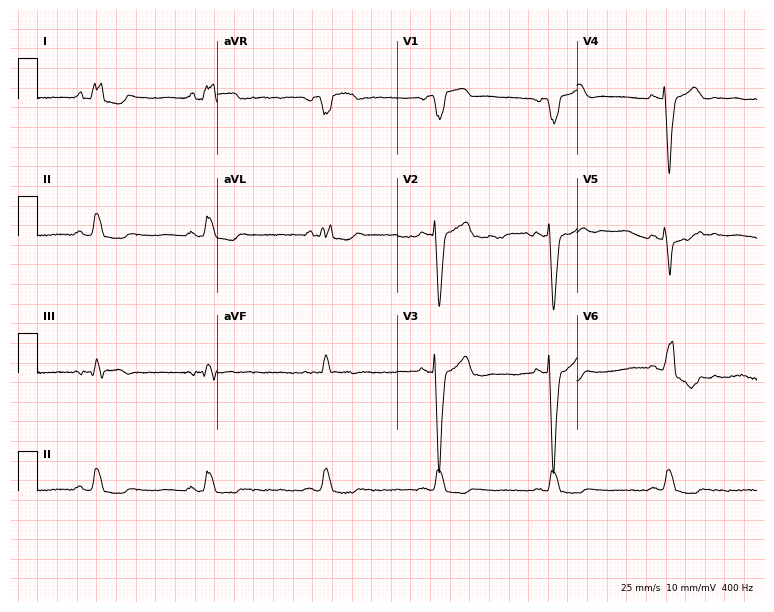
12-lead ECG from a male, 74 years old (7.3-second recording at 400 Hz). Shows left bundle branch block.